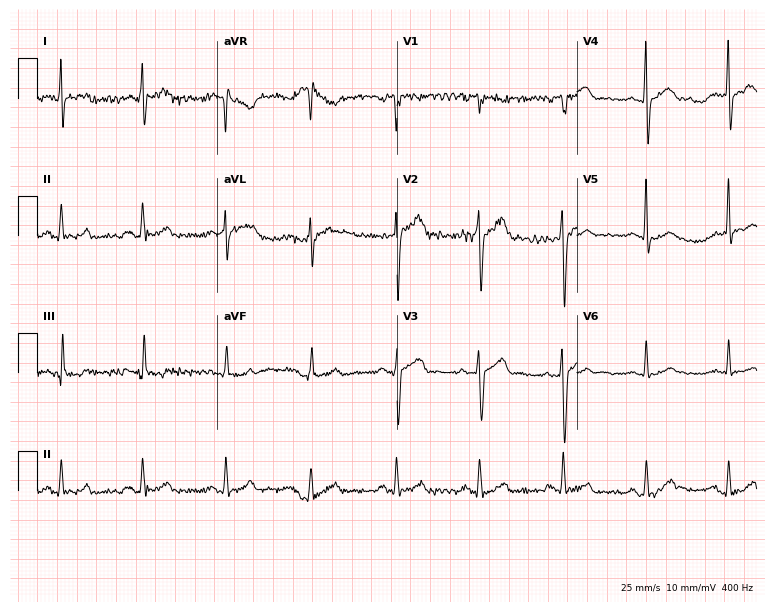
Electrocardiogram, a male, 41 years old. Overall reading on record: normal ECG.